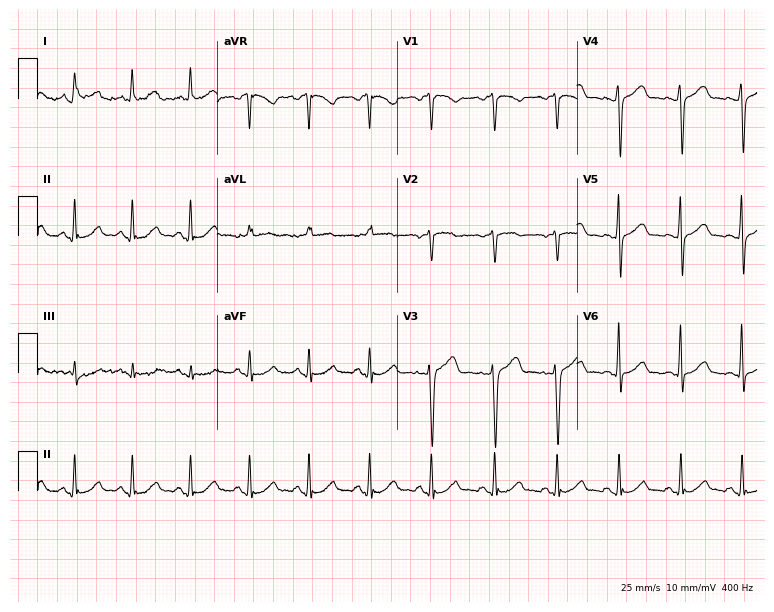
Electrocardiogram (7.3-second recording at 400 Hz), a woman, 50 years old. Of the six screened findings (first-degree AV block, right bundle branch block (RBBB), left bundle branch block (LBBB), sinus bradycardia, atrial fibrillation (AF), sinus tachycardia), none is recorded. Only these six findings were labelled.